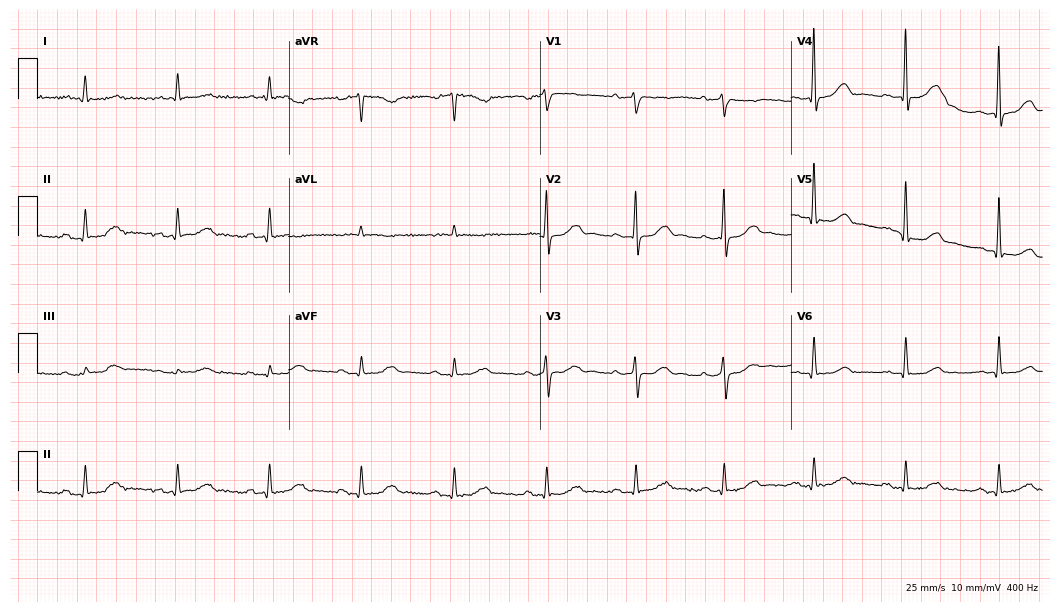
Standard 12-lead ECG recorded from a male patient, 76 years old. None of these six findings is recorded: first-degree AV block, right bundle branch block, left bundle branch block, sinus bradycardia, atrial fibrillation, sinus tachycardia.